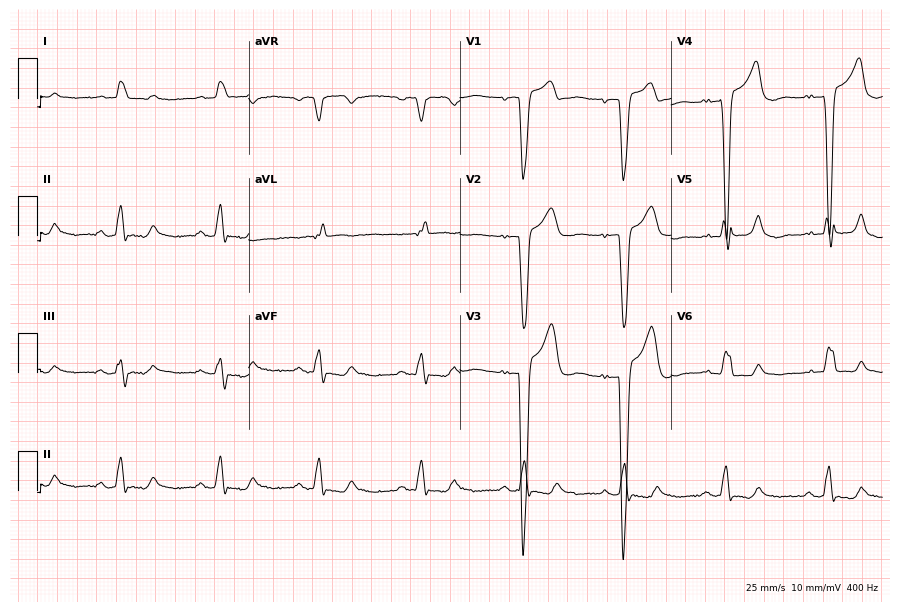
ECG — a male patient, 78 years old. Findings include left bundle branch block.